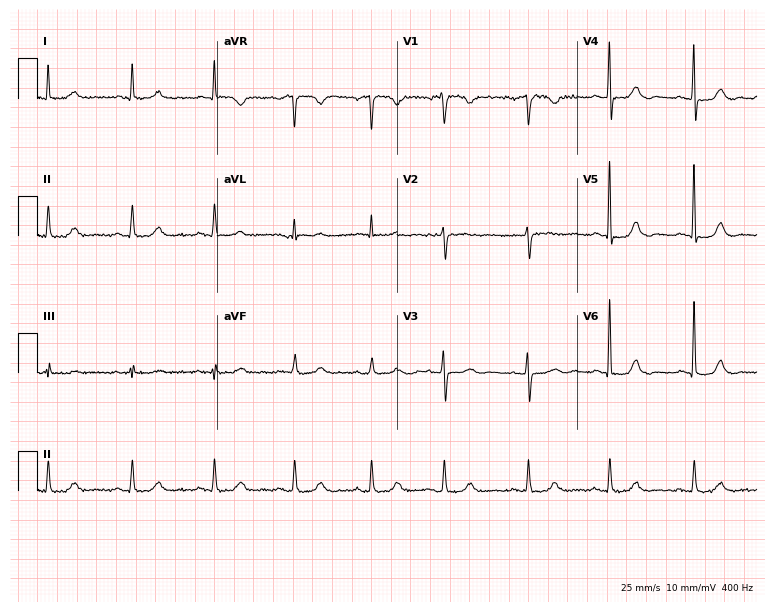
Standard 12-lead ECG recorded from an 83-year-old female patient (7.3-second recording at 400 Hz). None of these six findings is recorded: first-degree AV block, right bundle branch block (RBBB), left bundle branch block (LBBB), sinus bradycardia, atrial fibrillation (AF), sinus tachycardia. Only these six findings were labelled.